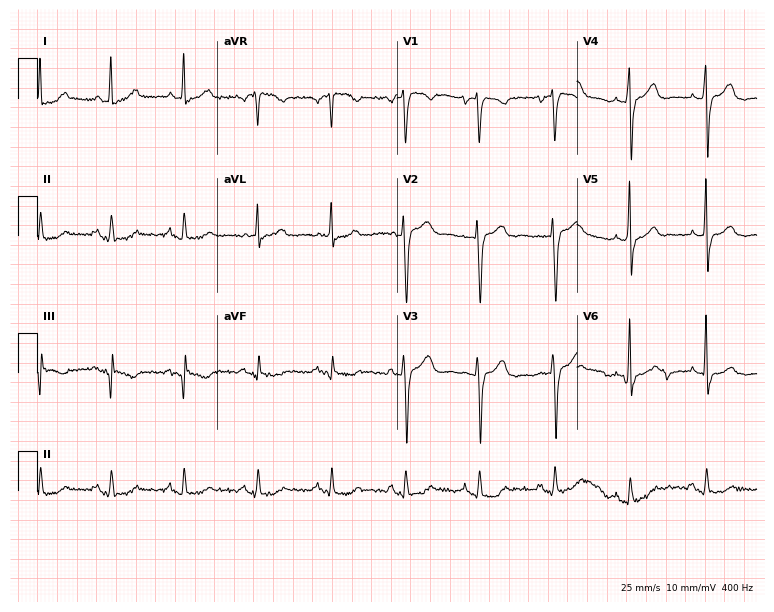
12-lead ECG (7.3-second recording at 400 Hz) from a 64-year-old female. Screened for six findings — first-degree AV block, right bundle branch block (RBBB), left bundle branch block (LBBB), sinus bradycardia, atrial fibrillation (AF), sinus tachycardia — none is recorded.